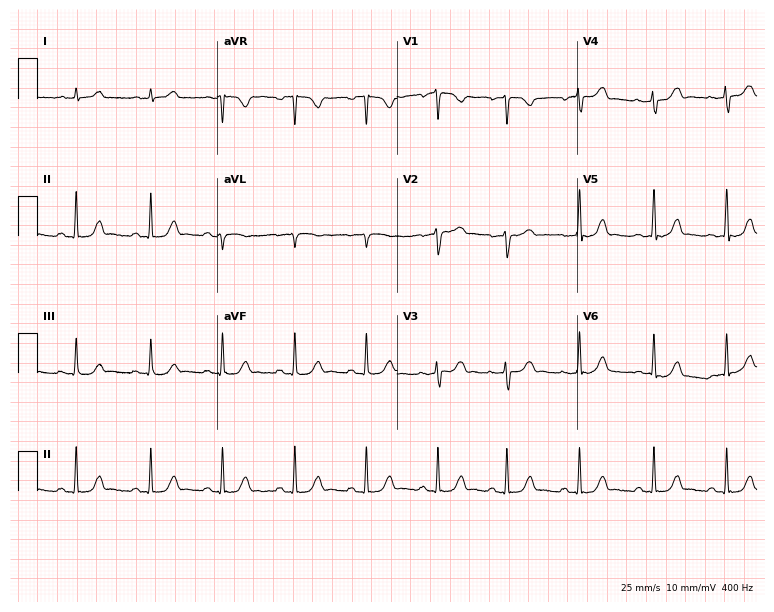
ECG — a 40-year-old female. Screened for six findings — first-degree AV block, right bundle branch block, left bundle branch block, sinus bradycardia, atrial fibrillation, sinus tachycardia — none is recorded.